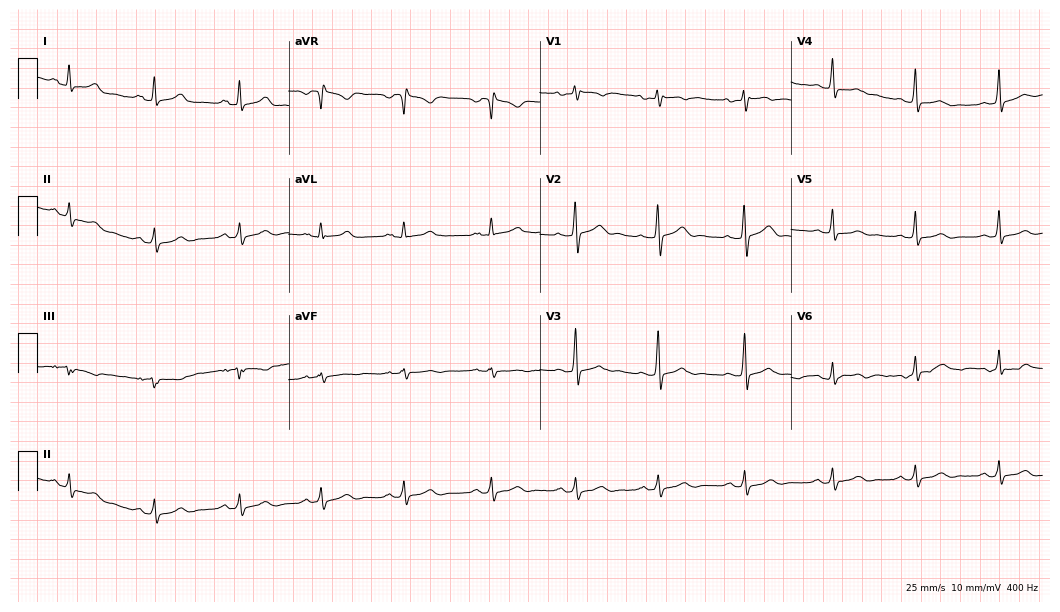
12-lead ECG (10.2-second recording at 400 Hz) from a 40-year-old woman. Screened for six findings — first-degree AV block, right bundle branch block (RBBB), left bundle branch block (LBBB), sinus bradycardia, atrial fibrillation (AF), sinus tachycardia — none is recorded.